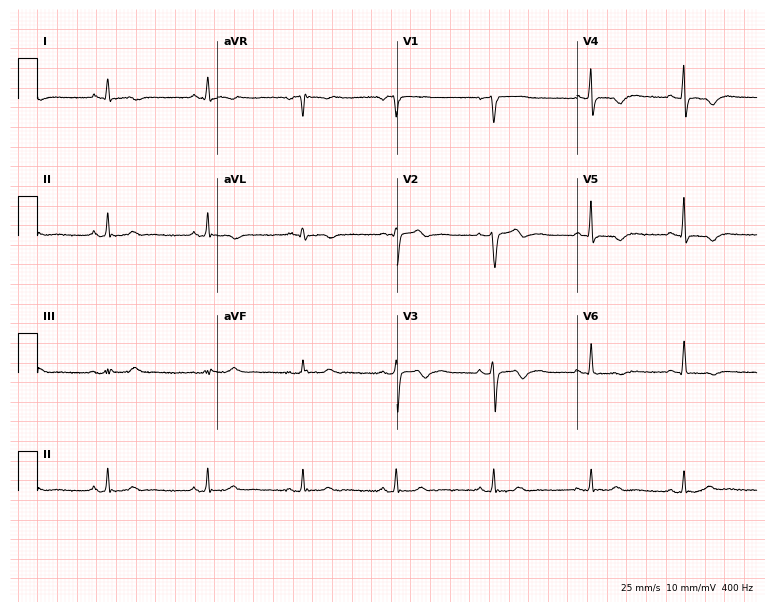
Standard 12-lead ECG recorded from a woman, 48 years old (7.3-second recording at 400 Hz). None of these six findings is recorded: first-degree AV block, right bundle branch block (RBBB), left bundle branch block (LBBB), sinus bradycardia, atrial fibrillation (AF), sinus tachycardia. Findings outside these six are not listed.